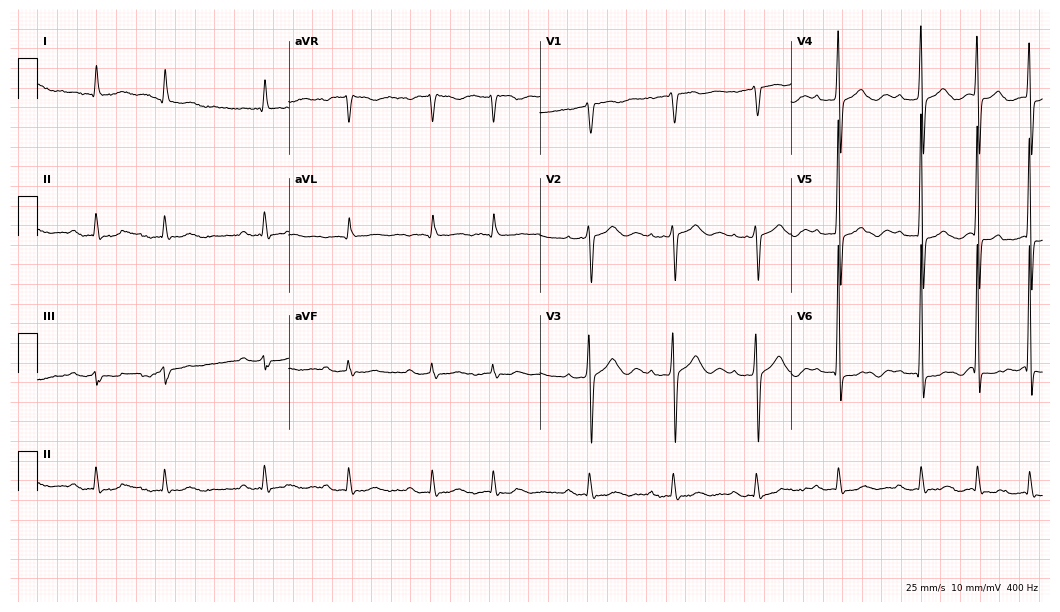
12-lead ECG from an 84-year-old male patient. Findings include first-degree AV block.